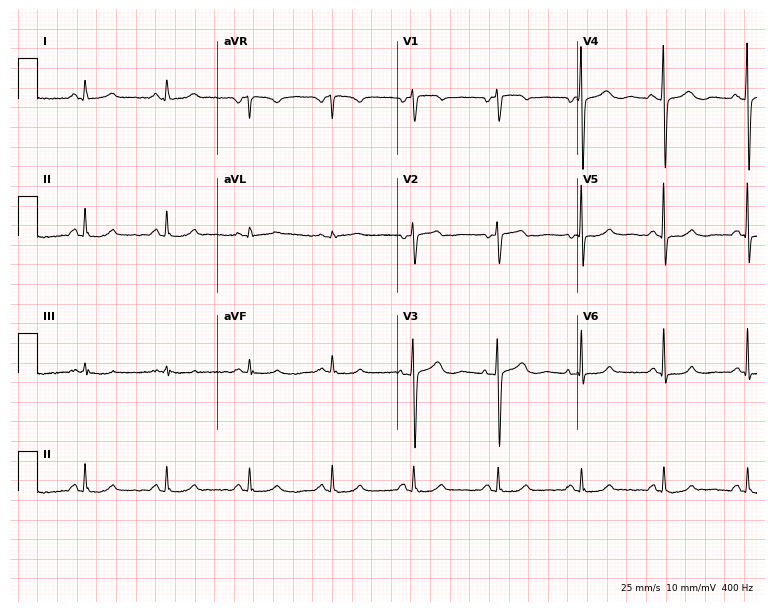
Standard 12-lead ECG recorded from a female, 53 years old. None of these six findings is recorded: first-degree AV block, right bundle branch block (RBBB), left bundle branch block (LBBB), sinus bradycardia, atrial fibrillation (AF), sinus tachycardia.